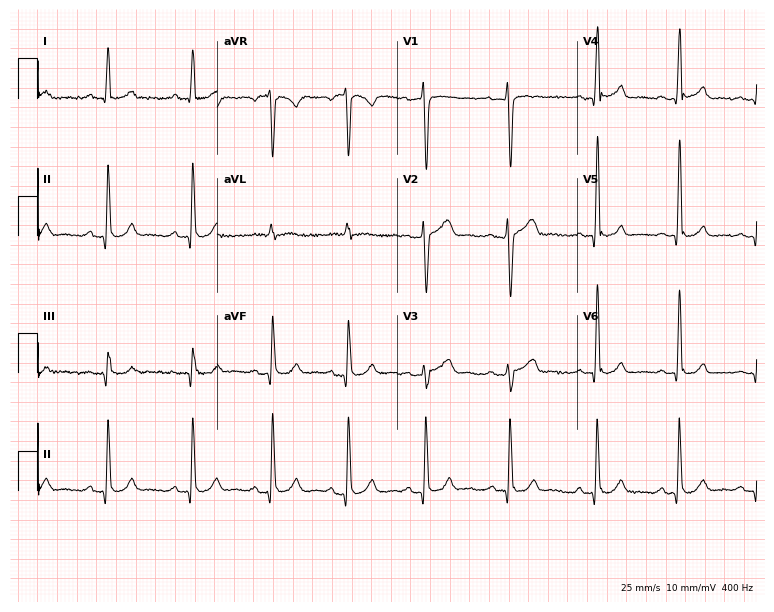
12-lead ECG from a 28-year-old male. Recorded interpretation: within normal limits.